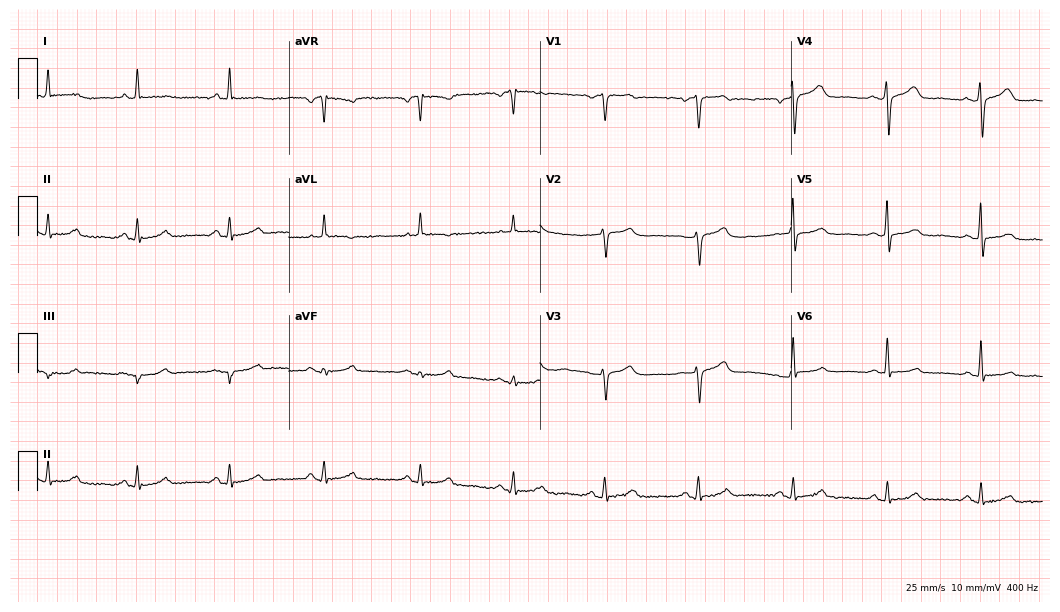
12-lead ECG from a 58-year-old female. No first-degree AV block, right bundle branch block, left bundle branch block, sinus bradycardia, atrial fibrillation or sinus tachycardia recorded for this tracing.